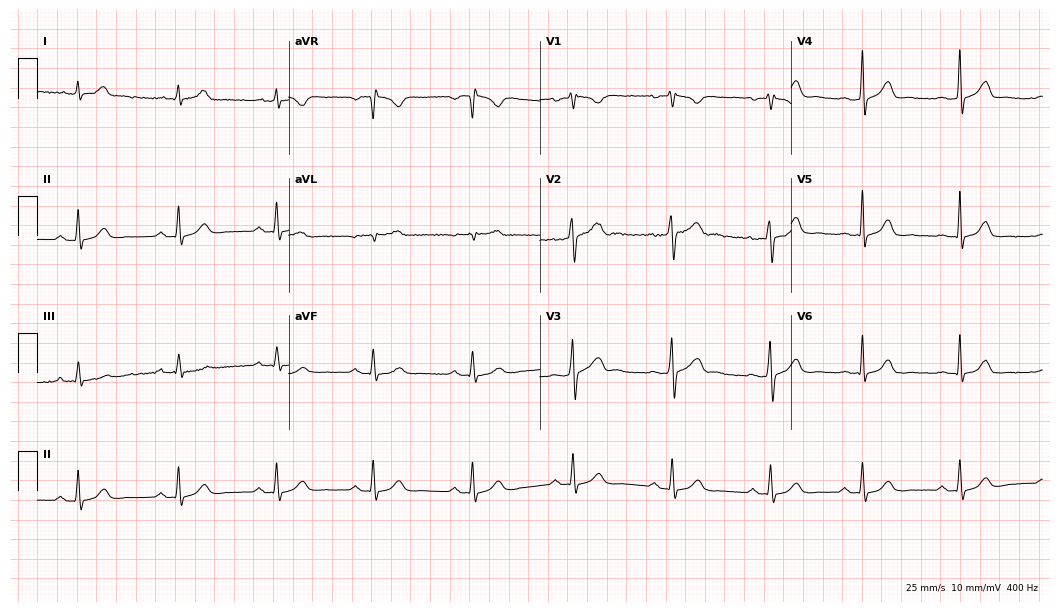
Resting 12-lead electrocardiogram (10.2-second recording at 400 Hz). Patient: a 33-year-old male. None of these six findings is recorded: first-degree AV block, right bundle branch block (RBBB), left bundle branch block (LBBB), sinus bradycardia, atrial fibrillation (AF), sinus tachycardia.